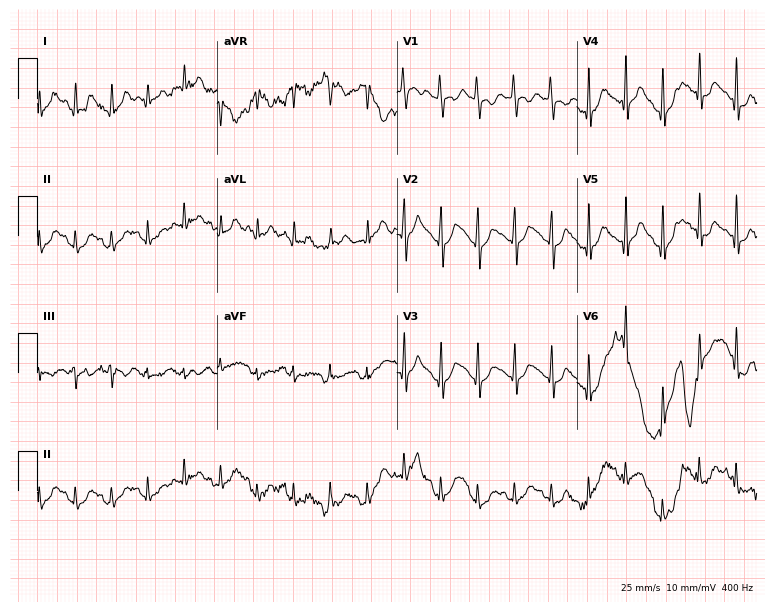
Electrocardiogram, a 19-year-old female. Interpretation includes sinus tachycardia (a sinus rate of 100 beats per minute or more).